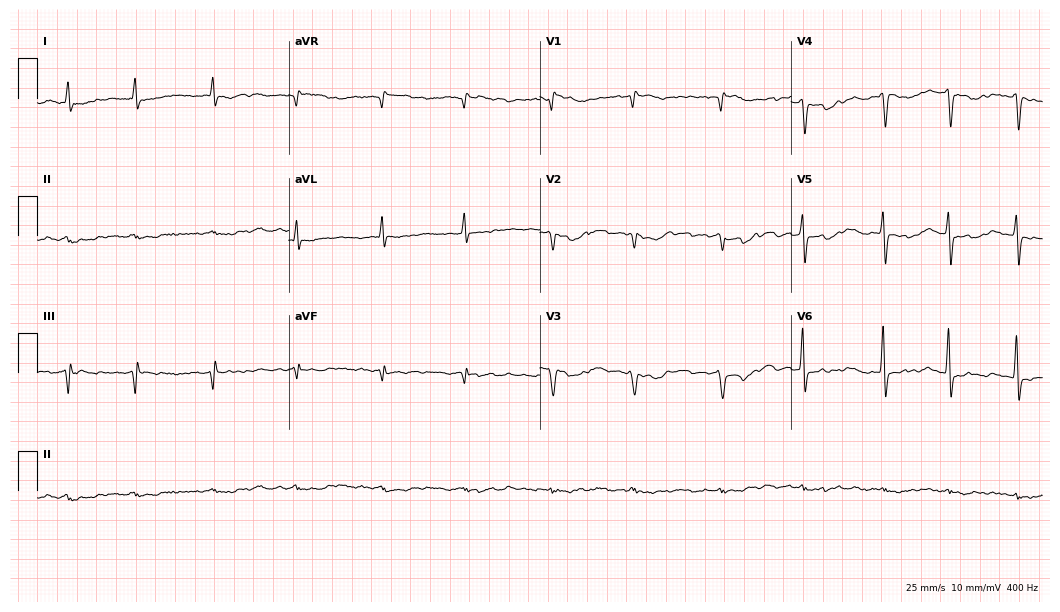
Resting 12-lead electrocardiogram (10.2-second recording at 400 Hz). Patient: a female, 79 years old. None of these six findings is recorded: first-degree AV block, right bundle branch block, left bundle branch block, sinus bradycardia, atrial fibrillation, sinus tachycardia.